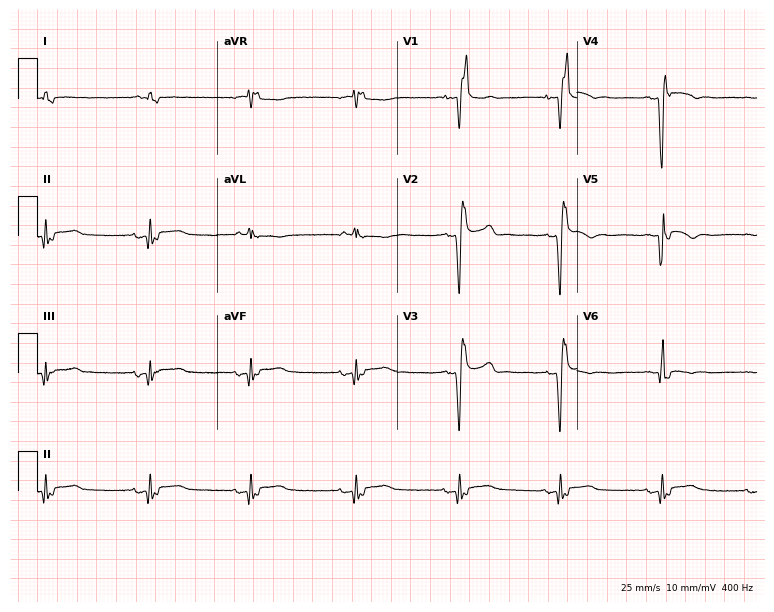
Standard 12-lead ECG recorded from a 73-year-old male (7.3-second recording at 400 Hz). The tracing shows right bundle branch block.